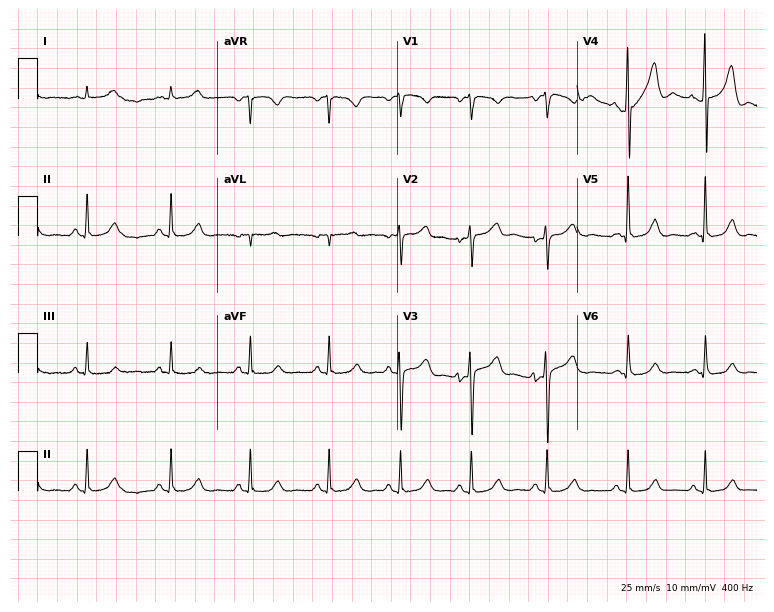
12-lead ECG (7.3-second recording at 400 Hz) from a 47-year-old woman. Labelled as a normal ECG.